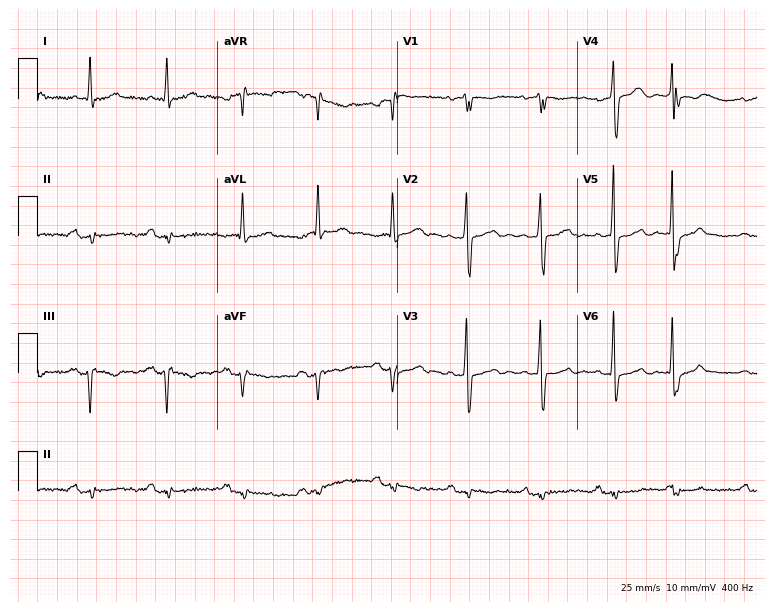
Electrocardiogram (7.3-second recording at 400 Hz), a male, 74 years old. Of the six screened findings (first-degree AV block, right bundle branch block, left bundle branch block, sinus bradycardia, atrial fibrillation, sinus tachycardia), none is recorded. Only these six findings were labelled.